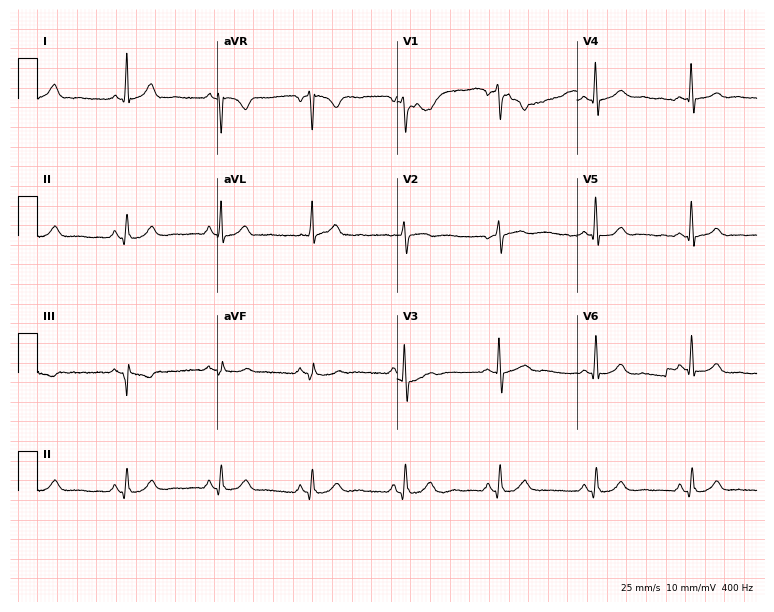
Electrocardiogram (7.3-second recording at 400 Hz), a woman, 47 years old. Overall reading on record: normal ECG.